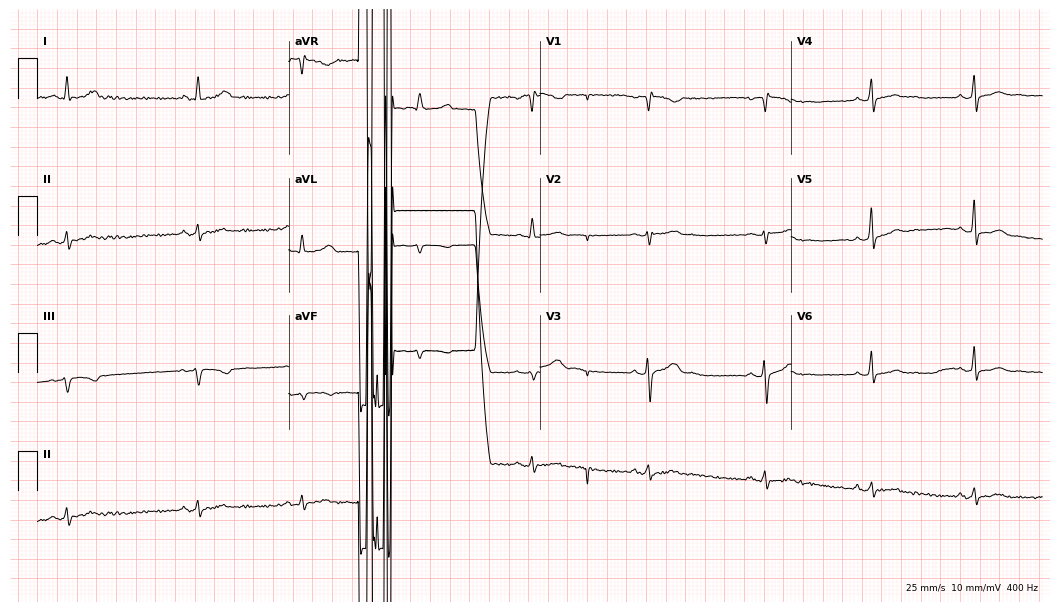
12-lead ECG from a 31-year-old woman. No first-degree AV block, right bundle branch block (RBBB), left bundle branch block (LBBB), sinus bradycardia, atrial fibrillation (AF) or sinus tachycardia recorded for this tracing.